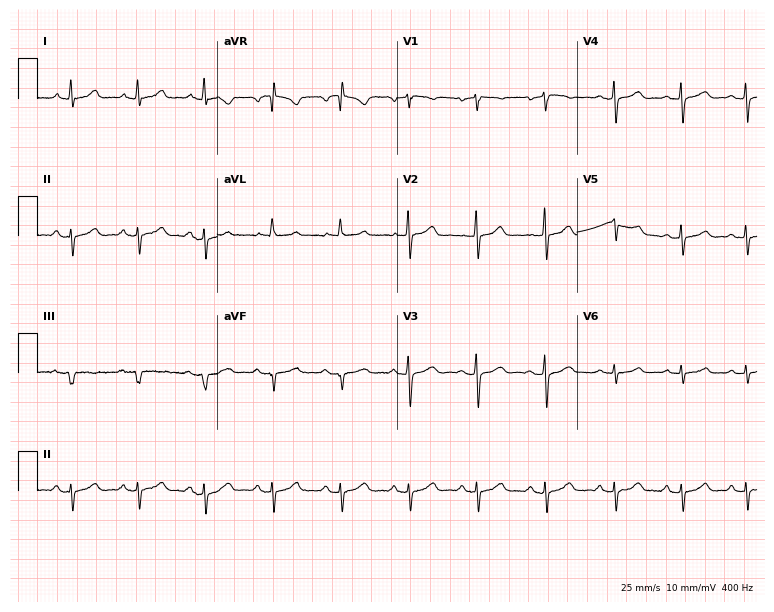
ECG (7.3-second recording at 400 Hz) — a 46-year-old female. Screened for six findings — first-degree AV block, right bundle branch block, left bundle branch block, sinus bradycardia, atrial fibrillation, sinus tachycardia — none is recorded.